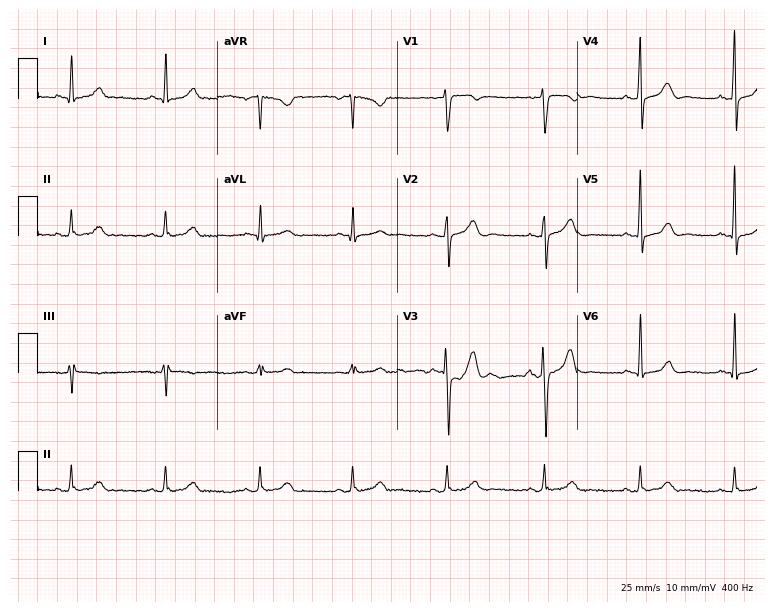
ECG — a 46-year-old male patient. Labelled as a normal ECG.